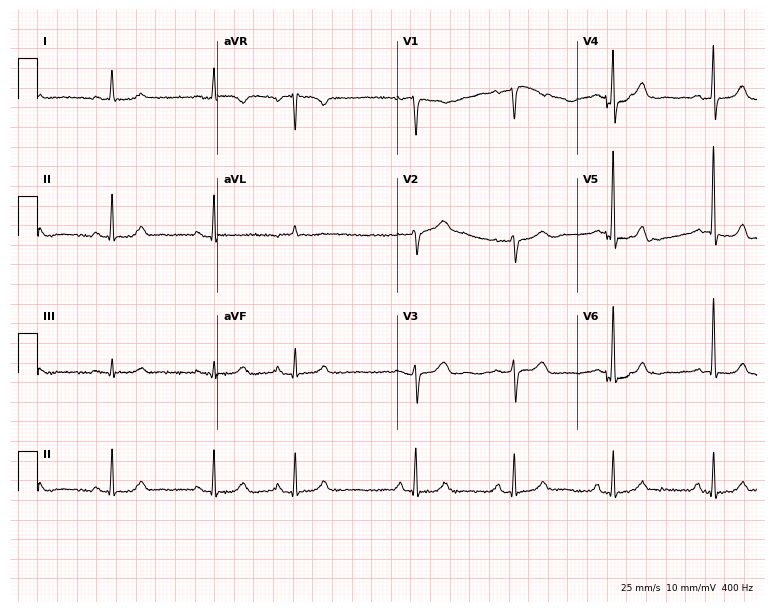
12-lead ECG from a woman, 70 years old. Recorded interpretation: within normal limits.